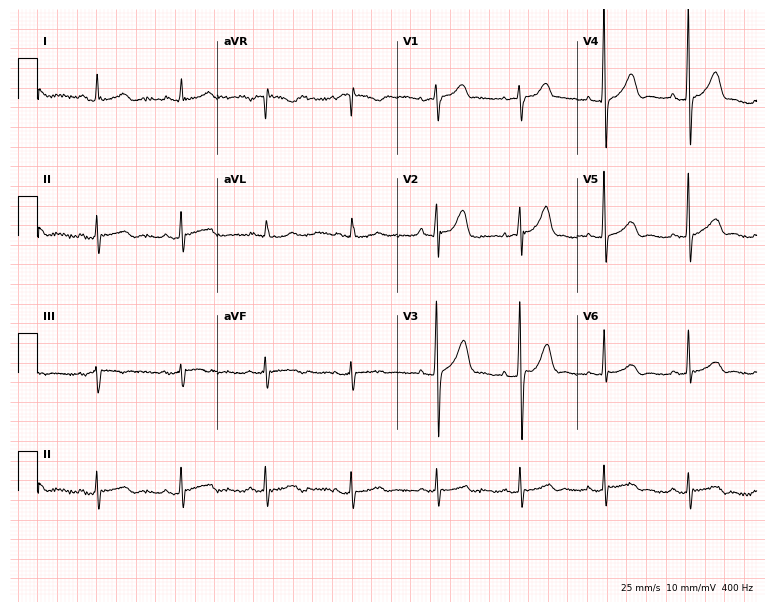
12-lead ECG from a 59-year-old woman. Screened for six findings — first-degree AV block, right bundle branch block, left bundle branch block, sinus bradycardia, atrial fibrillation, sinus tachycardia — none is recorded.